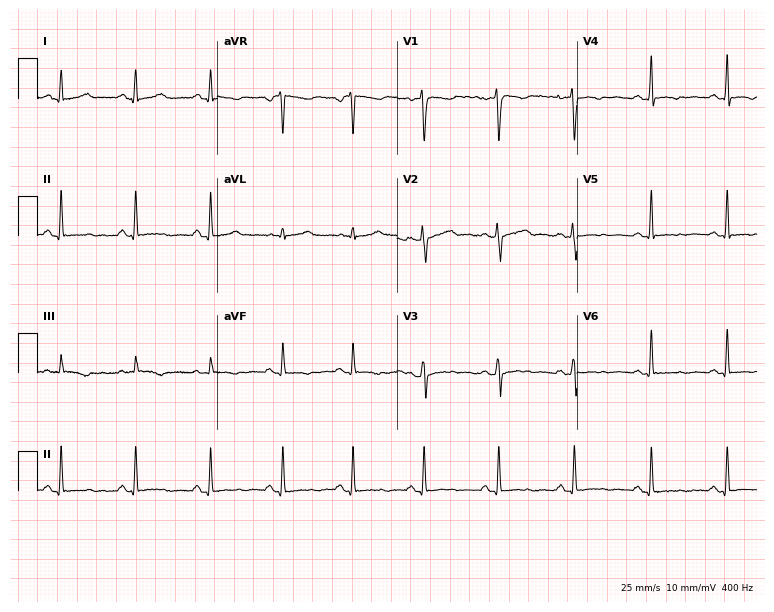
Standard 12-lead ECG recorded from a 33-year-old woman (7.3-second recording at 400 Hz). None of these six findings is recorded: first-degree AV block, right bundle branch block, left bundle branch block, sinus bradycardia, atrial fibrillation, sinus tachycardia.